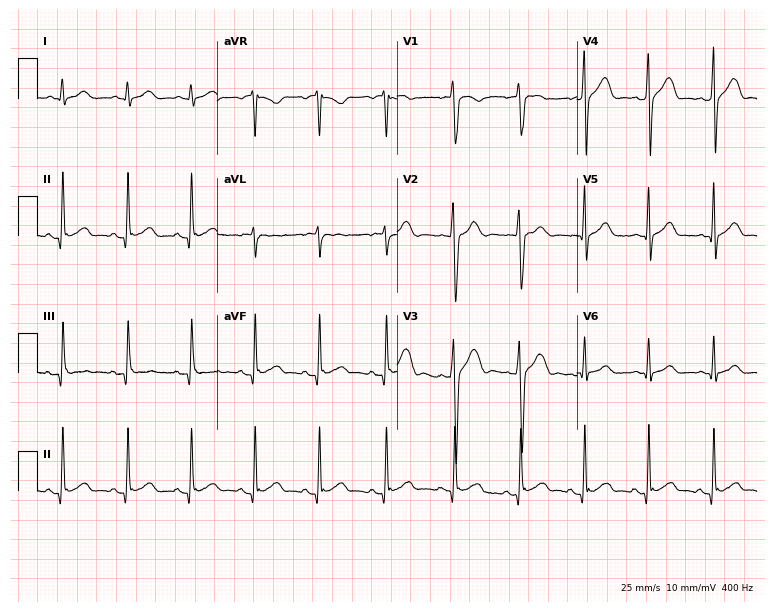
Standard 12-lead ECG recorded from a 23-year-old male. Read as a normal ECG.